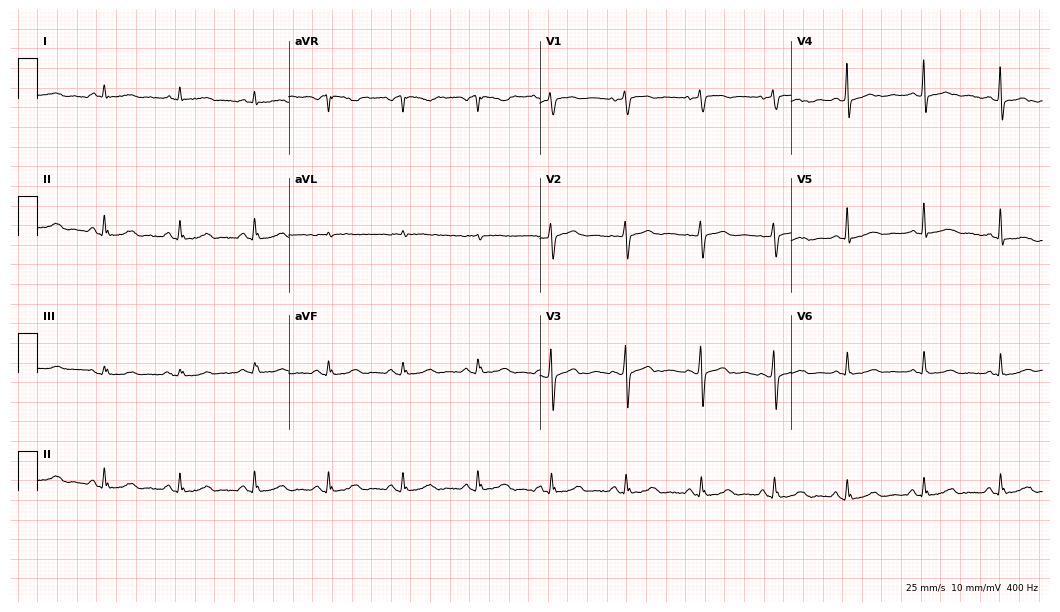
Standard 12-lead ECG recorded from a 75-year-old female (10.2-second recording at 400 Hz). Read as a normal ECG.